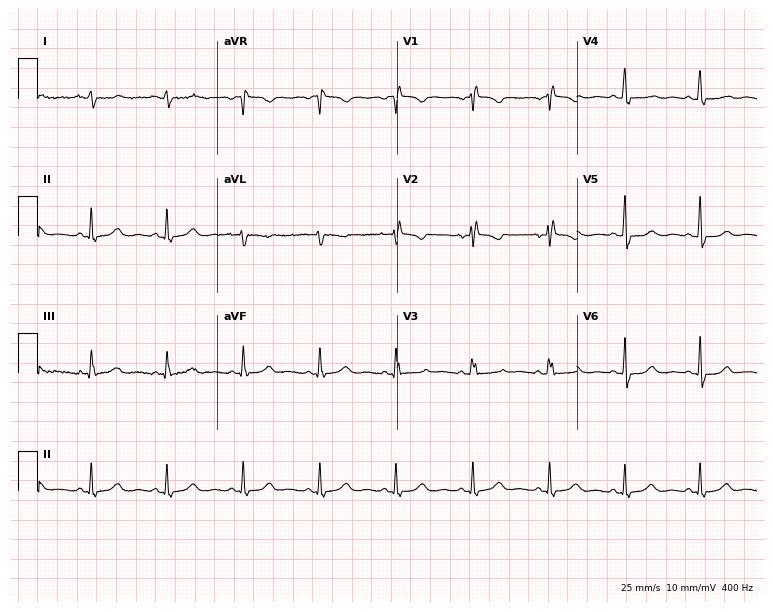
Electrocardiogram, a 37-year-old female. Of the six screened findings (first-degree AV block, right bundle branch block, left bundle branch block, sinus bradycardia, atrial fibrillation, sinus tachycardia), none is recorded. Only these six findings were labelled.